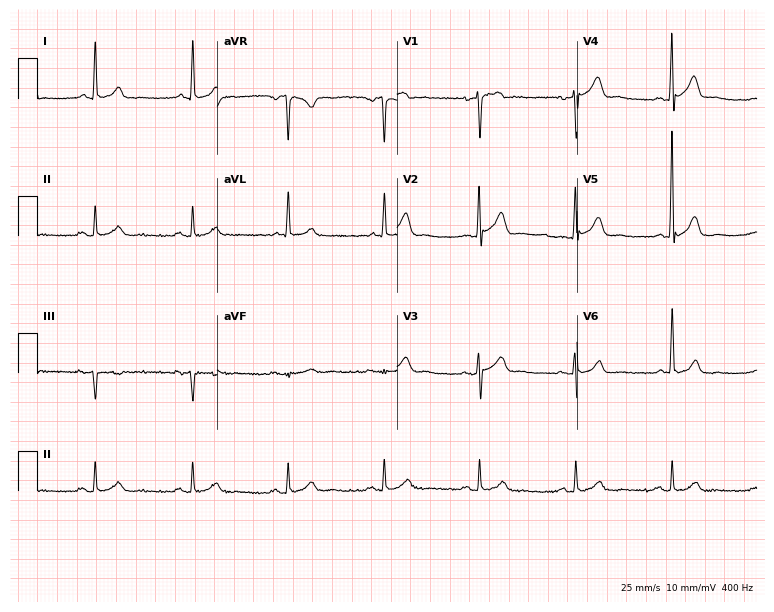
Standard 12-lead ECG recorded from a male, 72 years old (7.3-second recording at 400 Hz). None of these six findings is recorded: first-degree AV block, right bundle branch block, left bundle branch block, sinus bradycardia, atrial fibrillation, sinus tachycardia.